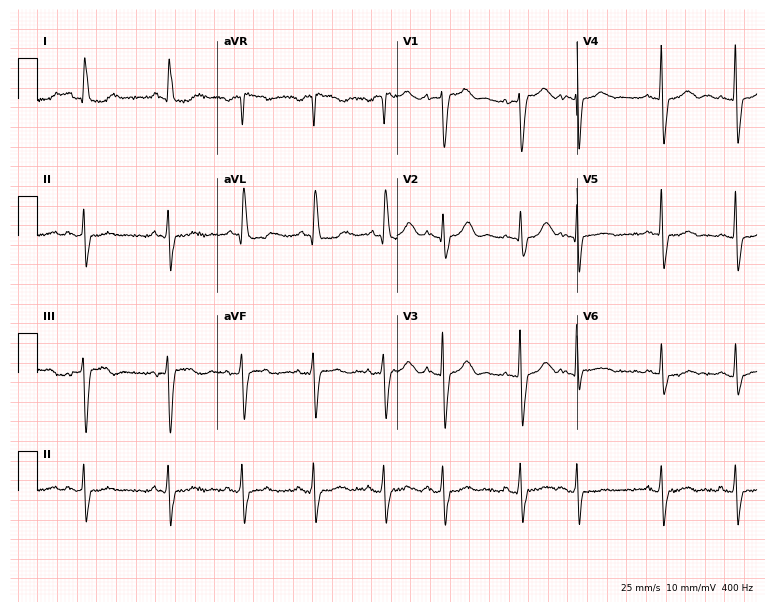
12-lead ECG from a female, 81 years old. Screened for six findings — first-degree AV block, right bundle branch block (RBBB), left bundle branch block (LBBB), sinus bradycardia, atrial fibrillation (AF), sinus tachycardia — none is recorded. Findings outside these six are not listed.